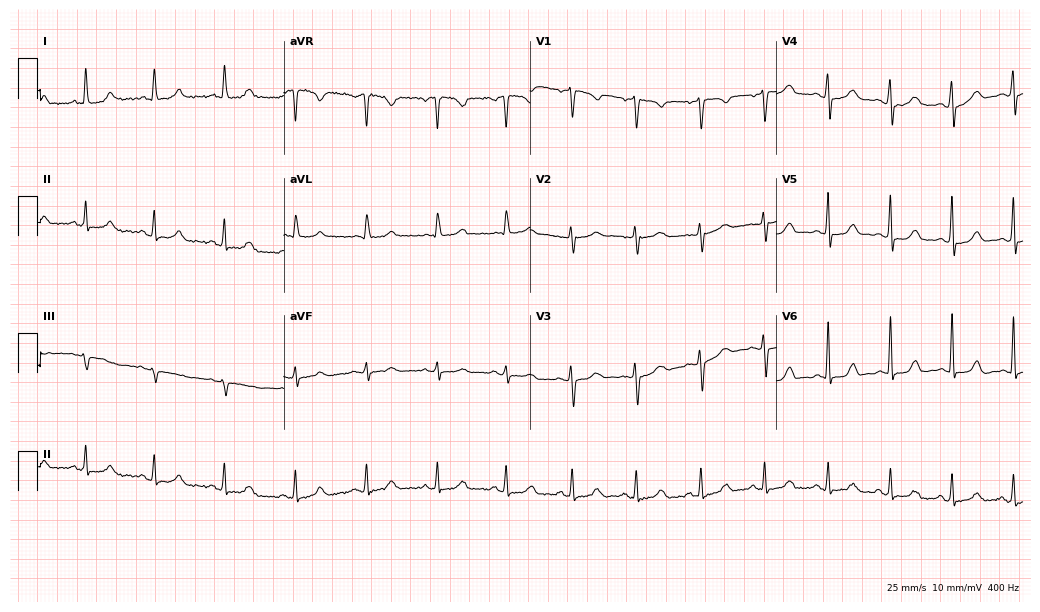
Electrocardiogram, a 45-year-old female. Overall reading on record: normal ECG.